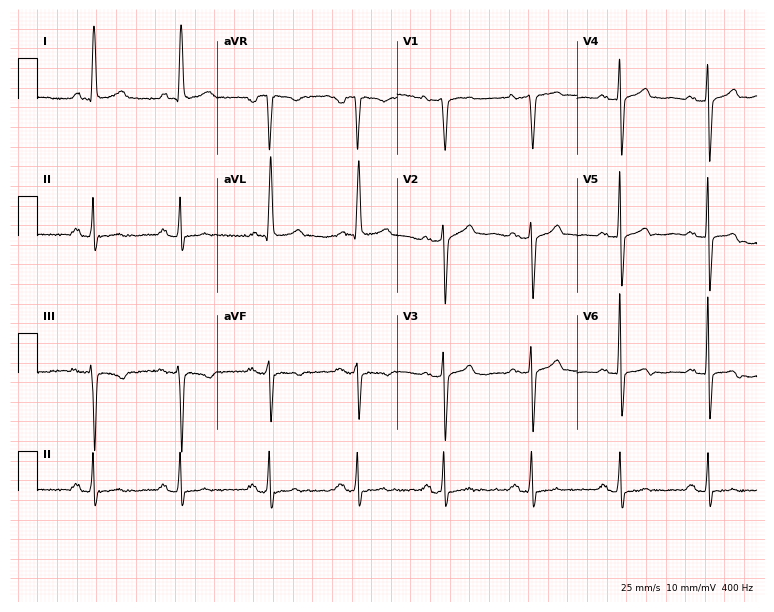
12-lead ECG from a 78-year-old woman. Recorded interpretation: within normal limits.